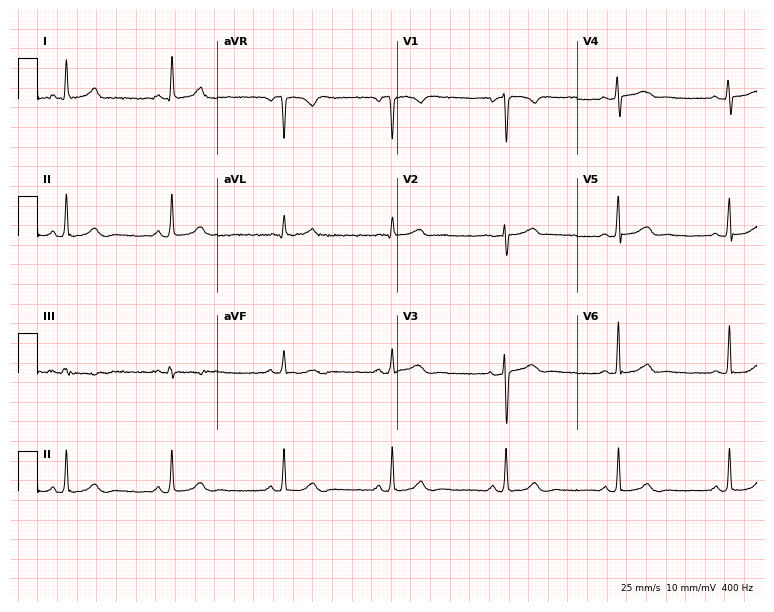
Resting 12-lead electrocardiogram (7.3-second recording at 400 Hz). Patient: a female, 51 years old. Read as a normal ECG.